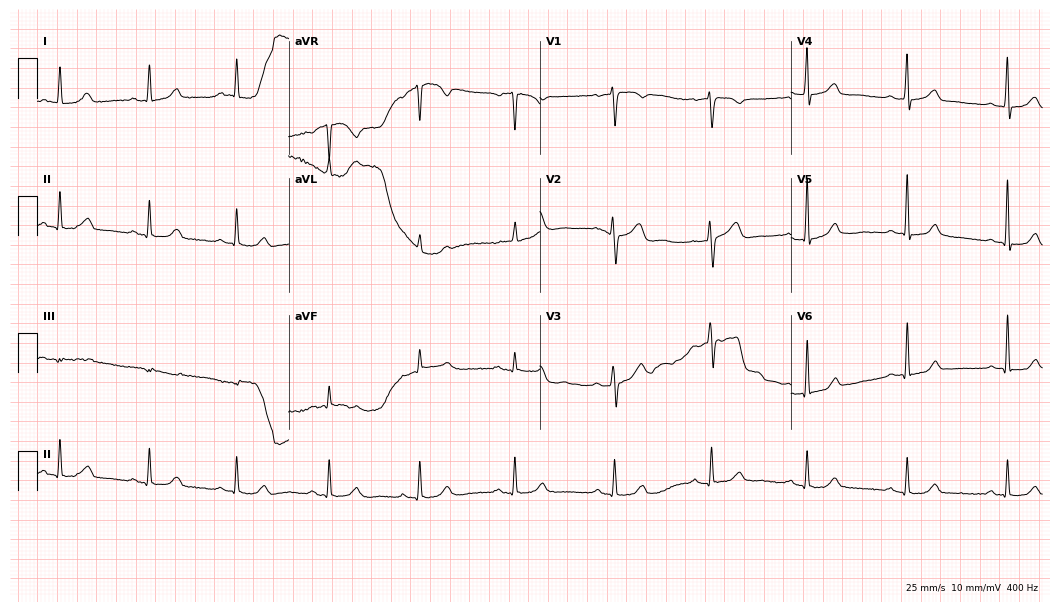
12-lead ECG from a 43-year-old woman. Labelled as a normal ECG.